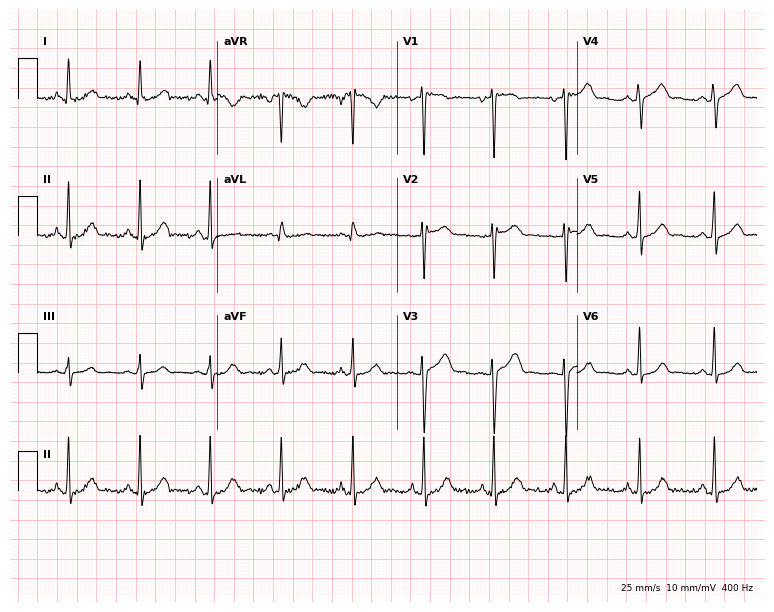
12-lead ECG from a 44-year-old female patient. Recorded interpretation: within normal limits.